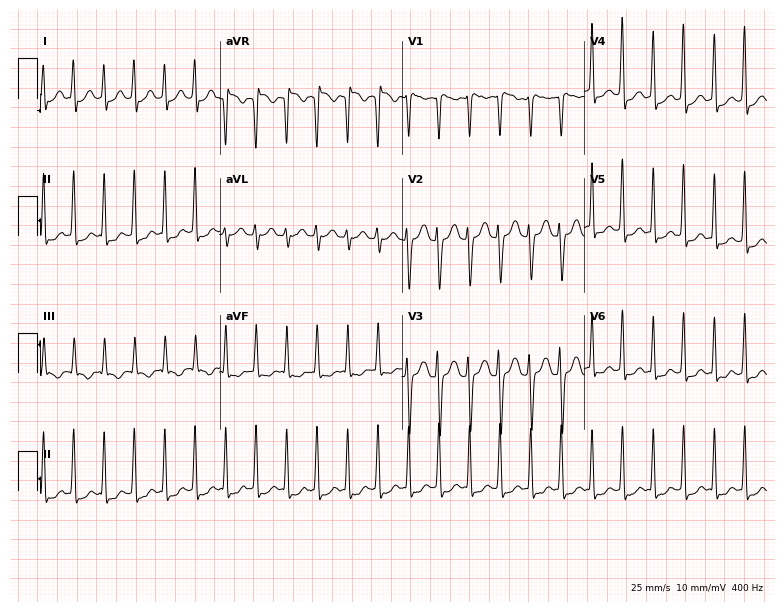
Resting 12-lead electrocardiogram. Patient: a 26-year-old woman. None of these six findings is recorded: first-degree AV block, right bundle branch block, left bundle branch block, sinus bradycardia, atrial fibrillation, sinus tachycardia. Other findings, if any, are not listed.